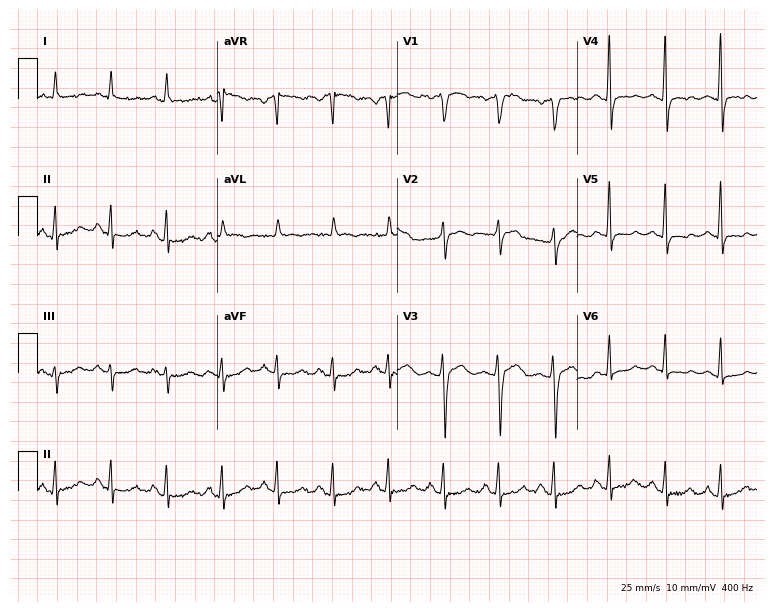
ECG — a 52-year-old woman. Findings include sinus tachycardia (a sinus rate of 100 beats per minute or more).